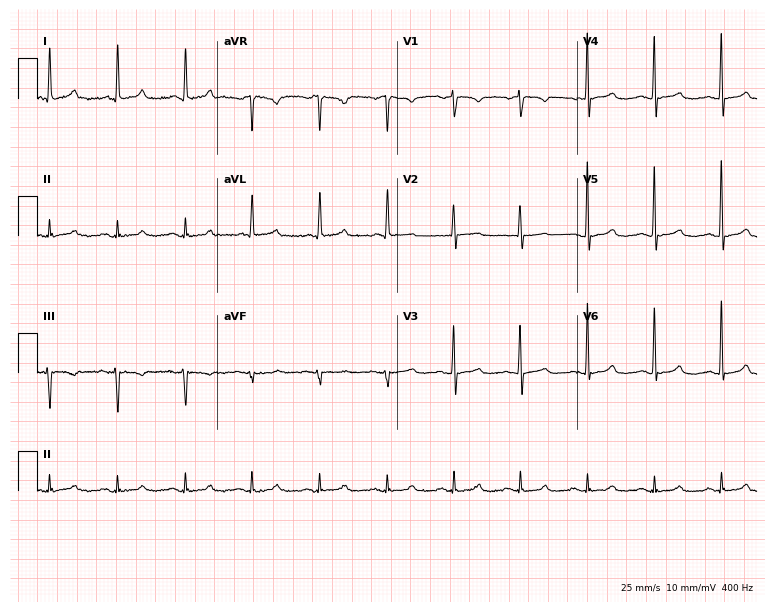
12-lead ECG (7.3-second recording at 400 Hz) from a 67-year-old woman. Screened for six findings — first-degree AV block, right bundle branch block, left bundle branch block, sinus bradycardia, atrial fibrillation, sinus tachycardia — none is recorded. Only these six findings were labelled.